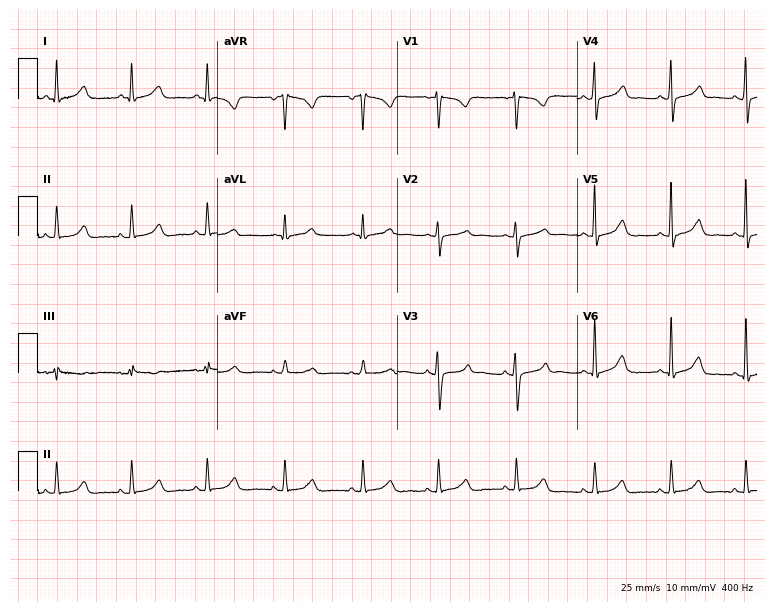
ECG (7.3-second recording at 400 Hz) — a female, 42 years old. Screened for six findings — first-degree AV block, right bundle branch block (RBBB), left bundle branch block (LBBB), sinus bradycardia, atrial fibrillation (AF), sinus tachycardia — none is recorded.